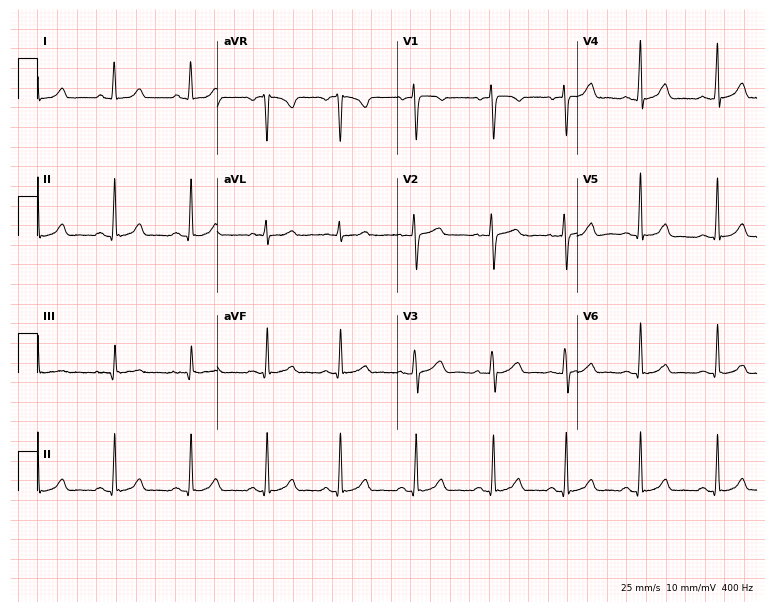
Resting 12-lead electrocardiogram. Patient: a female, 34 years old. Read as a normal ECG.